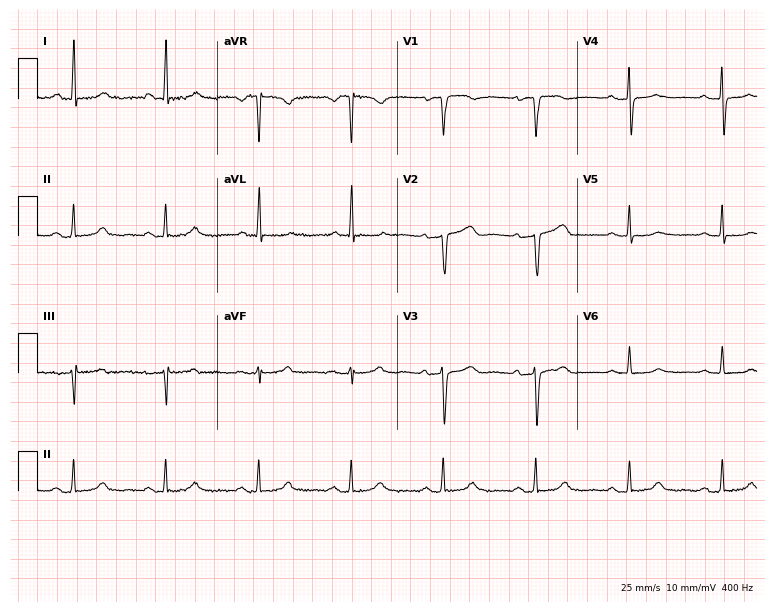
Standard 12-lead ECG recorded from a 65-year-old female patient (7.3-second recording at 400 Hz). None of these six findings is recorded: first-degree AV block, right bundle branch block (RBBB), left bundle branch block (LBBB), sinus bradycardia, atrial fibrillation (AF), sinus tachycardia. Only these six findings were labelled.